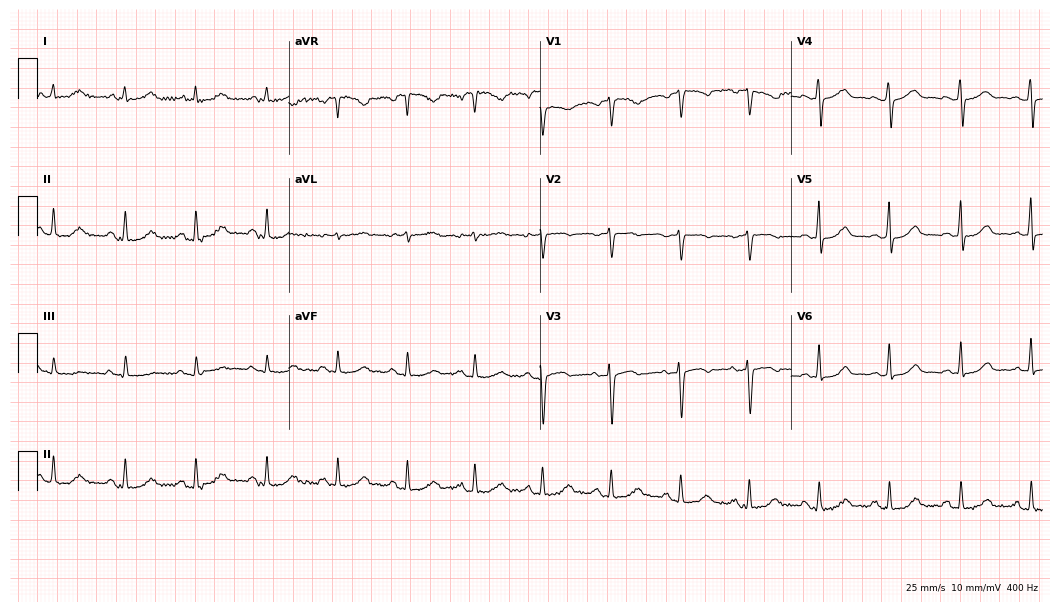
Standard 12-lead ECG recorded from a 44-year-old woman. Read as a normal ECG.